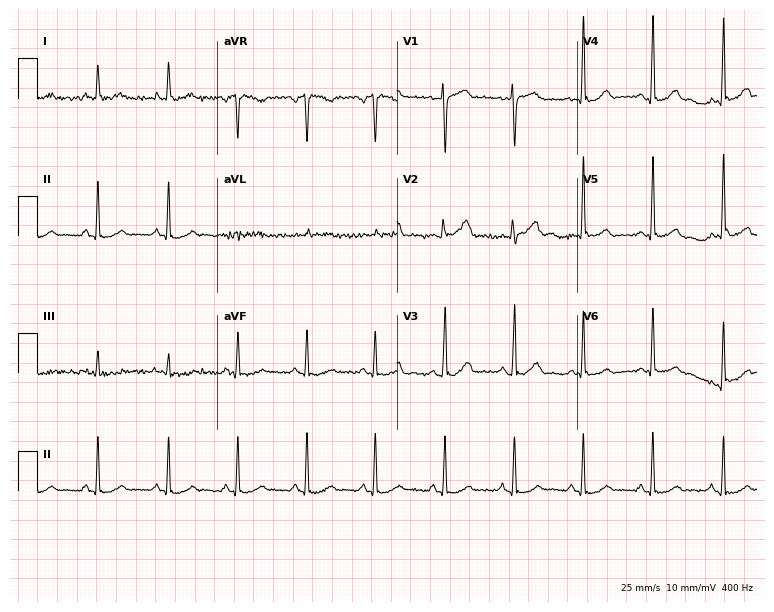
Resting 12-lead electrocardiogram. Patient: a female, 47 years old. Read as a normal ECG.